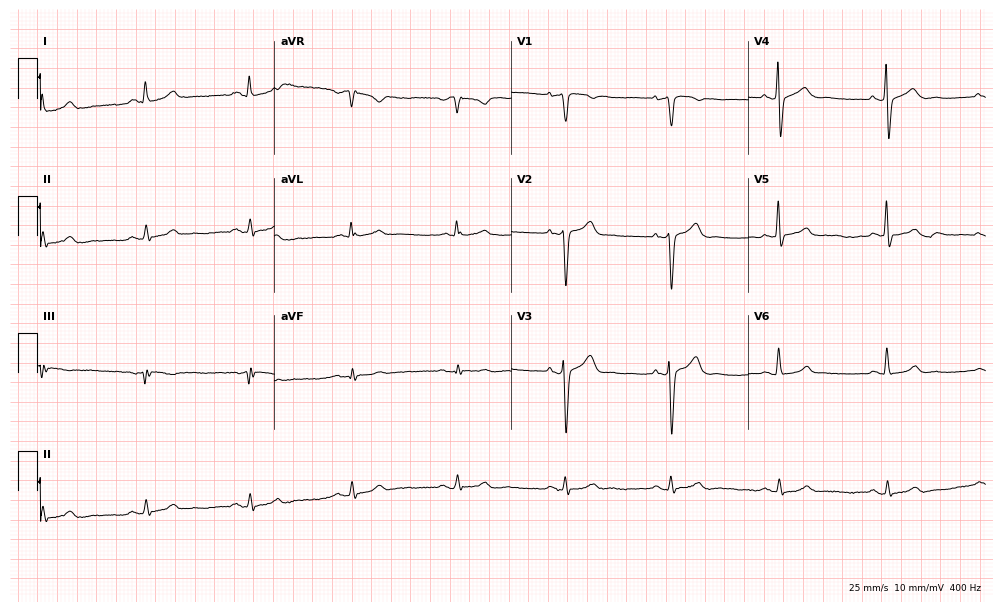
12-lead ECG (9.7-second recording at 400 Hz) from a man, 66 years old. Screened for six findings — first-degree AV block, right bundle branch block, left bundle branch block, sinus bradycardia, atrial fibrillation, sinus tachycardia — none is recorded.